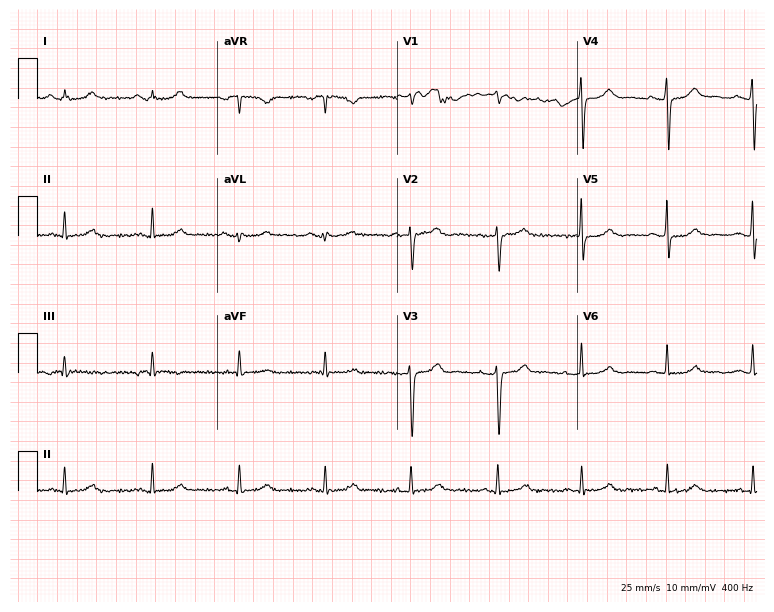
Standard 12-lead ECG recorded from a man, 68 years old. None of these six findings is recorded: first-degree AV block, right bundle branch block, left bundle branch block, sinus bradycardia, atrial fibrillation, sinus tachycardia. Only these six findings were labelled.